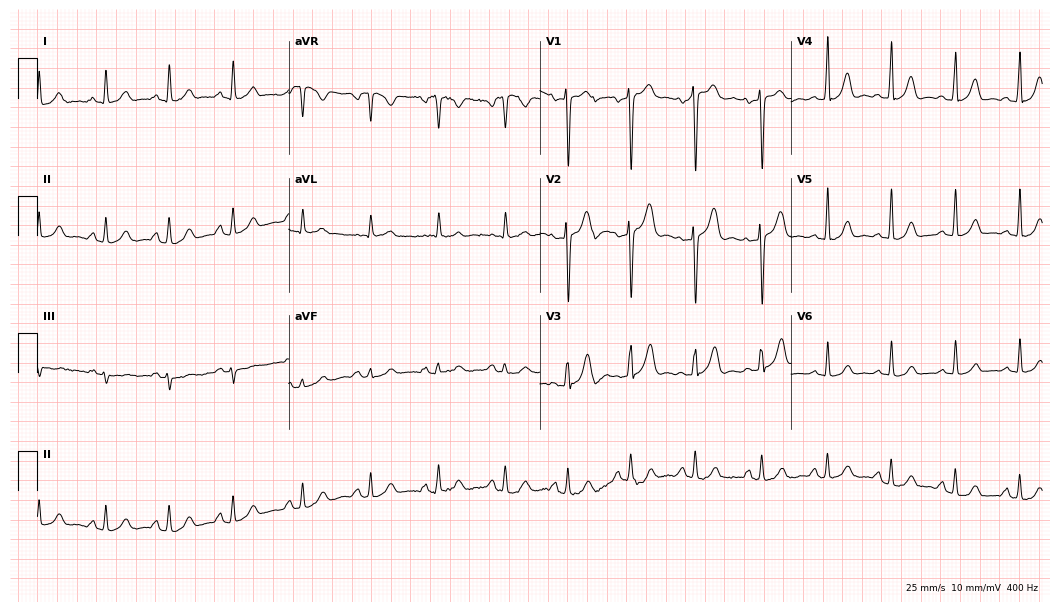
12-lead ECG from a female patient, 31 years old. Recorded interpretation: within normal limits.